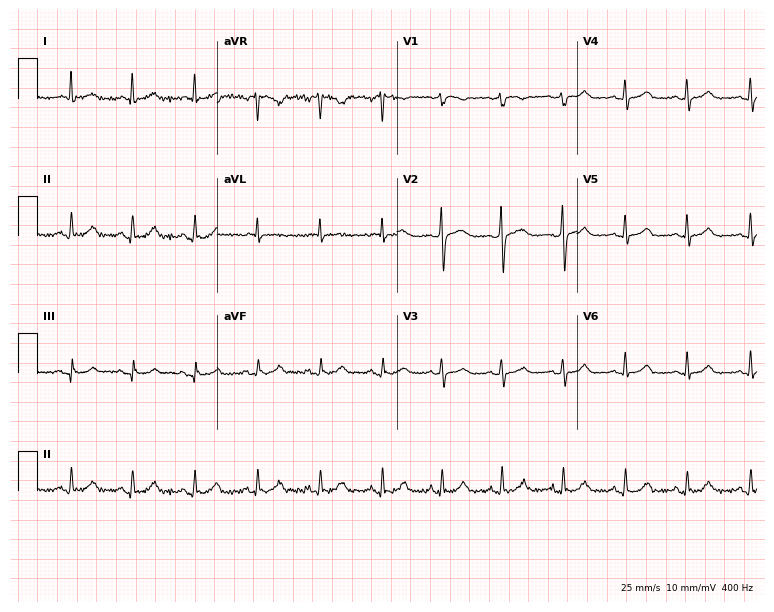
Resting 12-lead electrocardiogram (7.3-second recording at 400 Hz). Patient: a female, 56 years old. None of these six findings is recorded: first-degree AV block, right bundle branch block, left bundle branch block, sinus bradycardia, atrial fibrillation, sinus tachycardia.